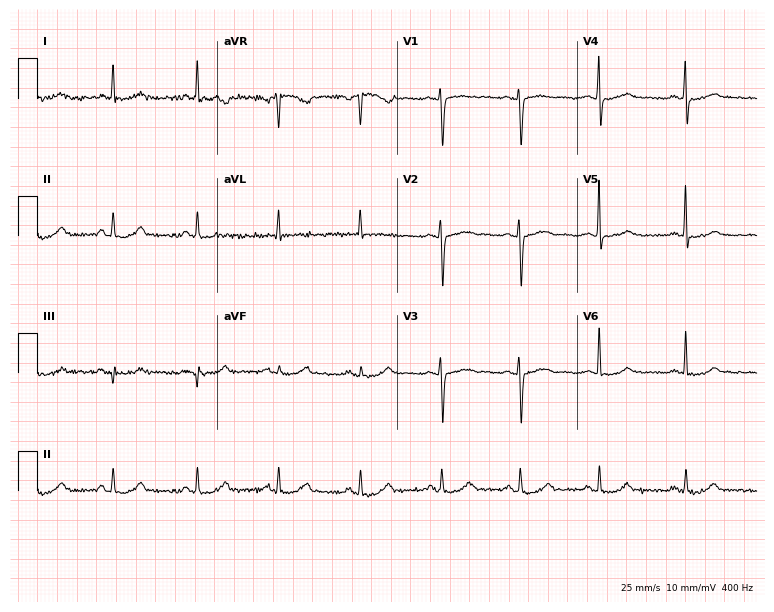
Electrocardiogram, a female, 54 years old. Of the six screened findings (first-degree AV block, right bundle branch block (RBBB), left bundle branch block (LBBB), sinus bradycardia, atrial fibrillation (AF), sinus tachycardia), none is recorded.